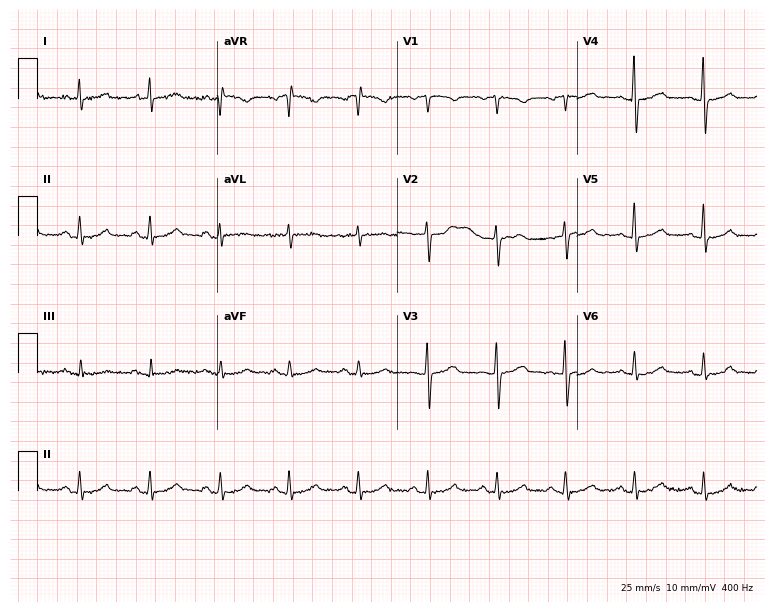
Electrocardiogram (7.3-second recording at 400 Hz), a 65-year-old female patient. Overall reading on record: normal ECG.